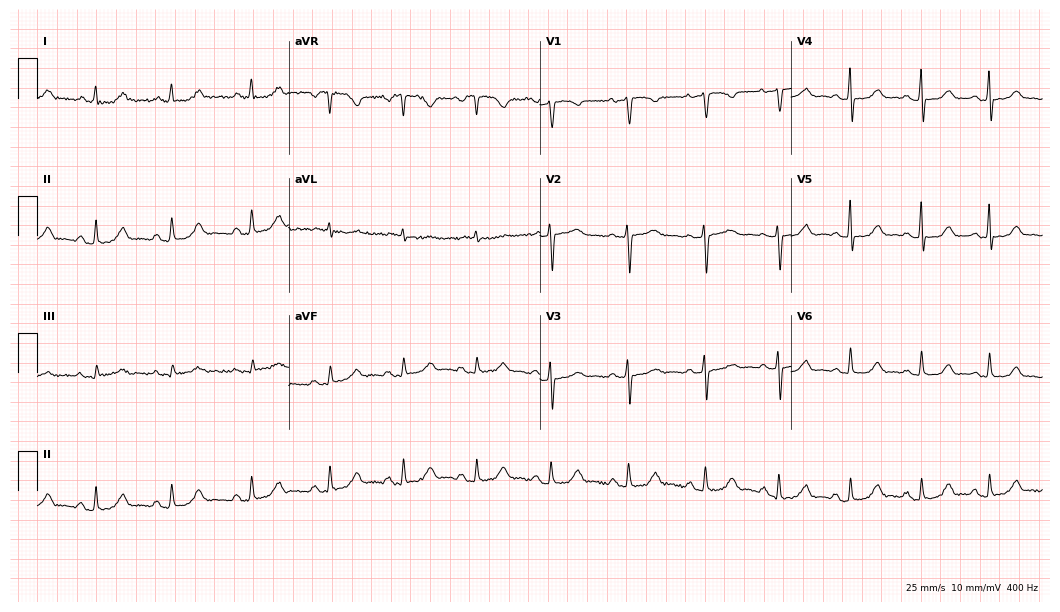
Standard 12-lead ECG recorded from a female, 52 years old. Read as a normal ECG.